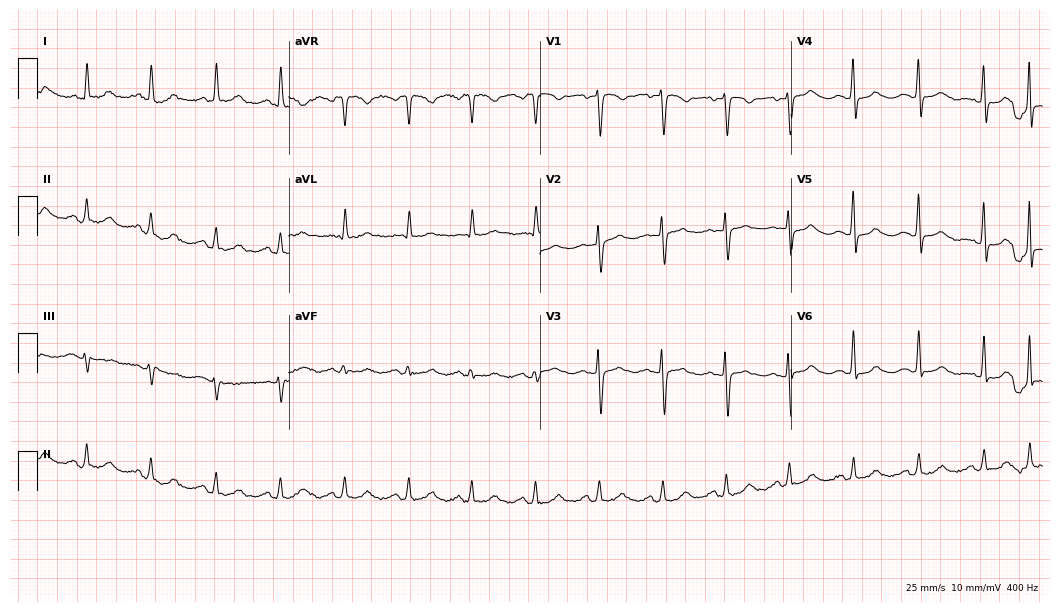
Standard 12-lead ECG recorded from a woman, 69 years old (10.2-second recording at 400 Hz). Read as a normal ECG.